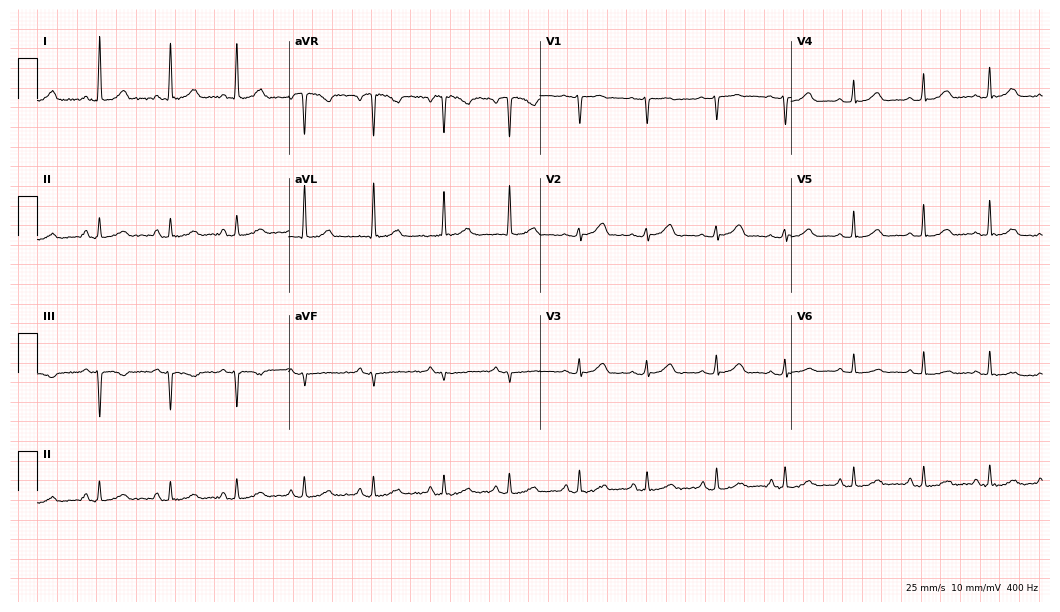
12-lead ECG from a 65-year-old woman (10.2-second recording at 400 Hz). No first-degree AV block, right bundle branch block, left bundle branch block, sinus bradycardia, atrial fibrillation or sinus tachycardia recorded for this tracing.